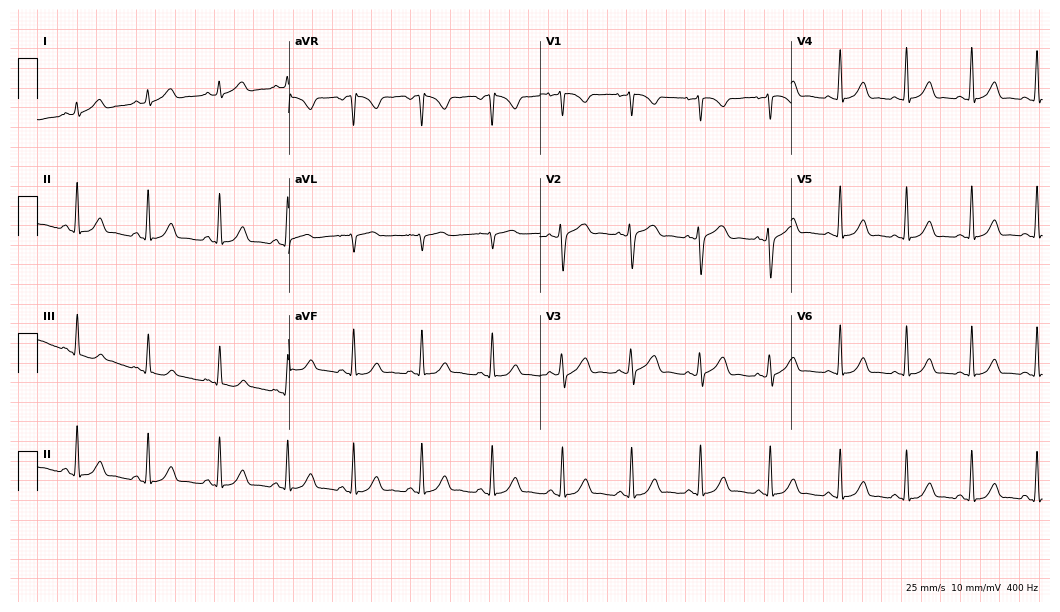
ECG (10.2-second recording at 400 Hz) — a 24-year-old woman. Labelled as a normal ECG.